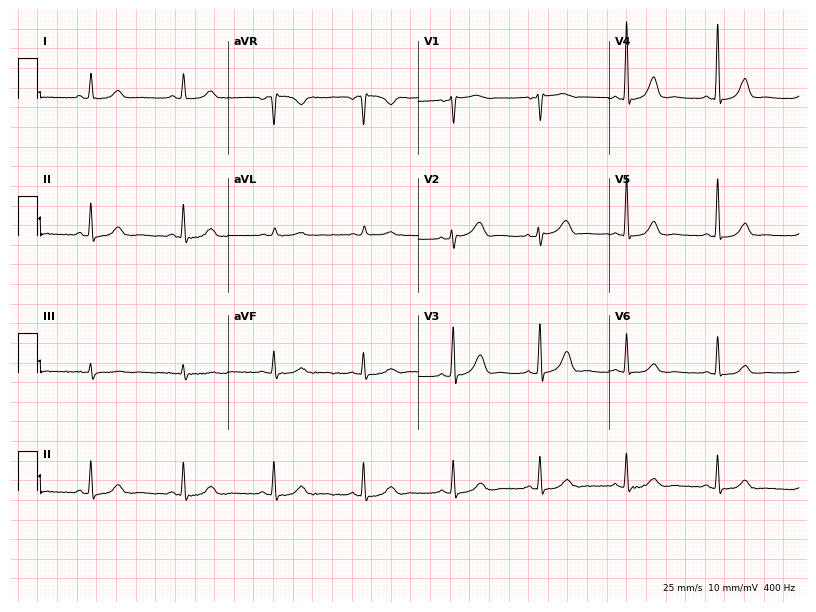
Resting 12-lead electrocardiogram. Patient: a 59-year-old woman. Read as a normal ECG.